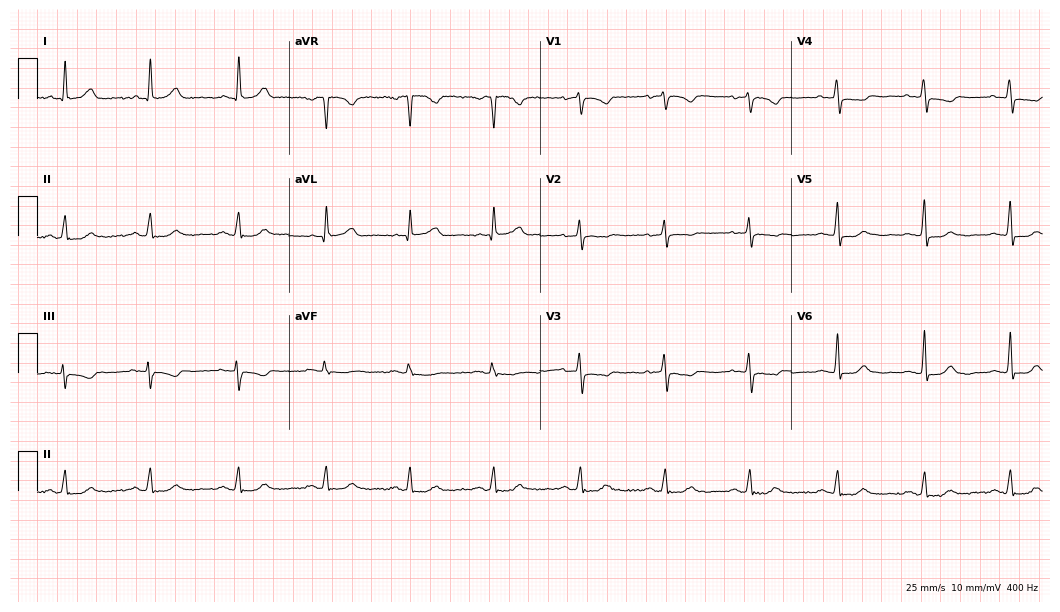
12-lead ECG from a female, 80 years old (10.2-second recording at 400 Hz). No first-degree AV block, right bundle branch block (RBBB), left bundle branch block (LBBB), sinus bradycardia, atrial fibrillation (AF) or sinus tachycardia recorded for this tracing.